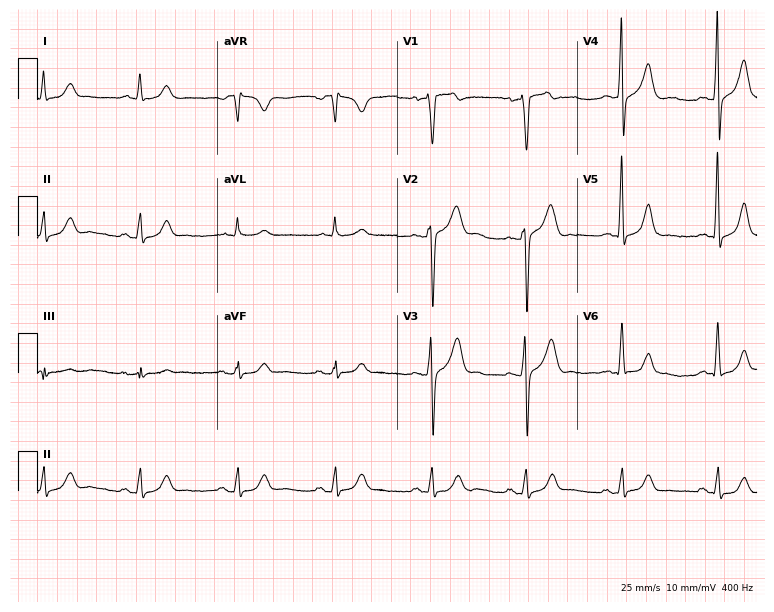
12-lead ECG from a man, 49 years old. No first-degree AV block, right bundle branch block (RBBB), left bundle branch block (LBBB), sinus bradycardia, atrial fibrillation (AF) or sinus tachycardia recorded for this tracing. Other findings, if any, are not listed.